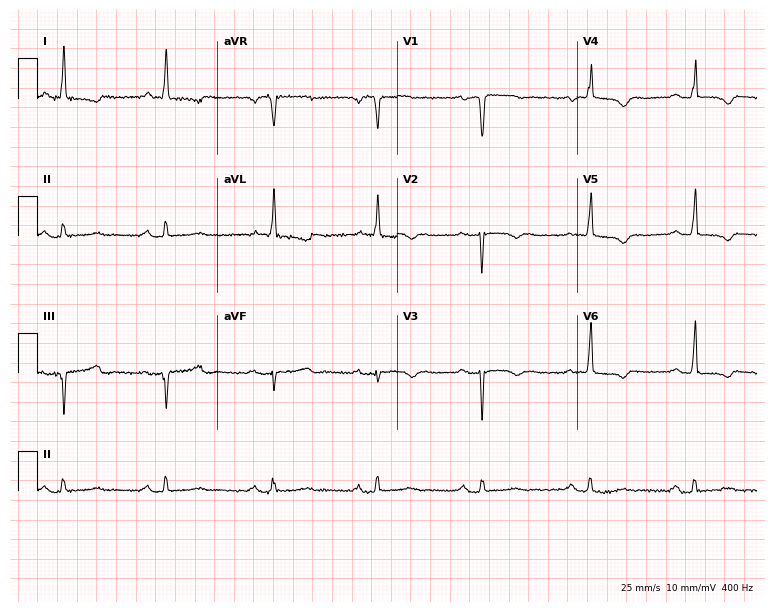
12-lead ECG (7.3-second recording at 400 Hz) from a female, 81 years old. Findings include first-degree AV block.